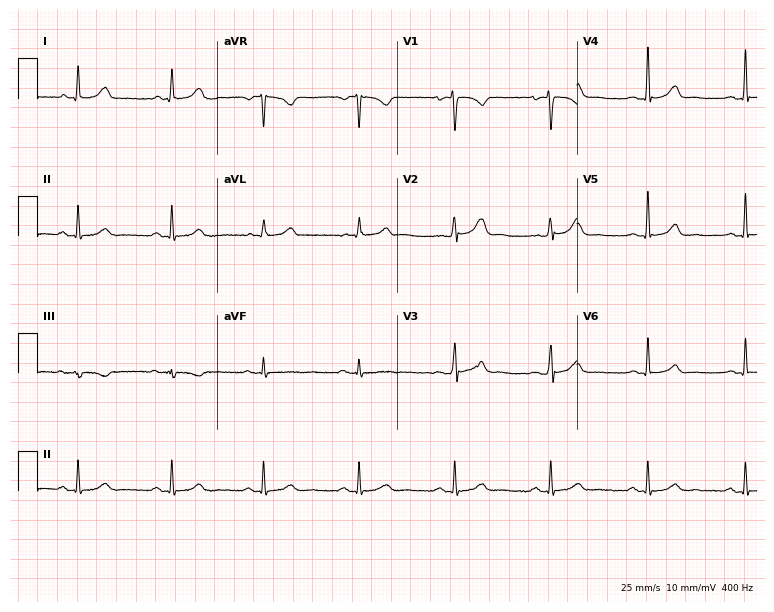
ECG (7.3-second recording at 400 Hz) — a female patient, 38 years old. Labelled as a normal ECG.